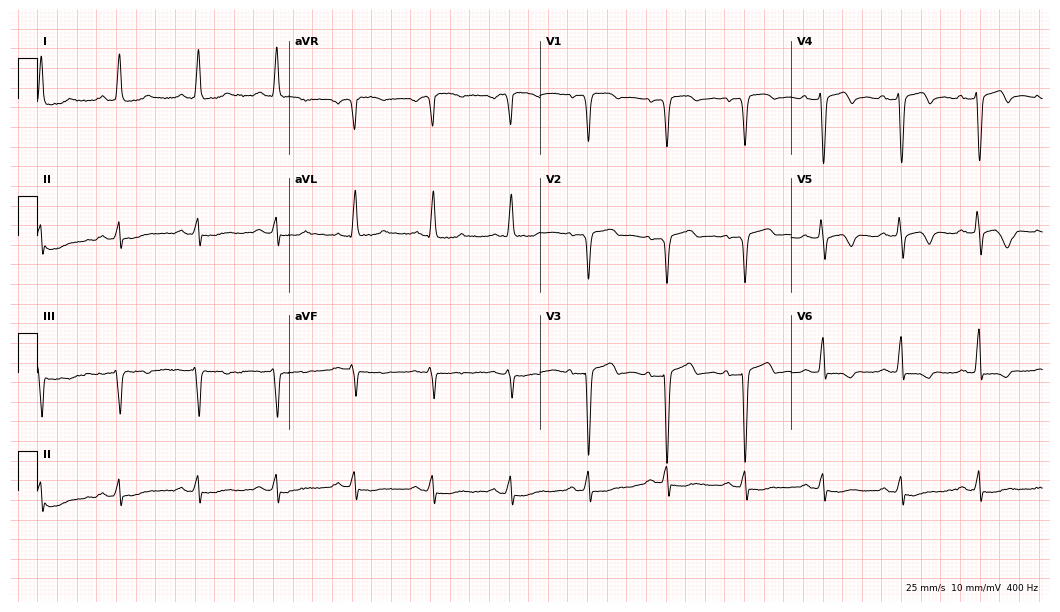
12-lead ECG (10.2-second recording at 400 Hz) from a 71-year-old female. Screened for six findings — first-degree AV block, right bundle branch block (RBBB), left bundle branch block (LBBB), sinus bradycardia, atrial fibrillation (AF), sinus tachycardia — none is recorded. Findings outside these six are not listed.